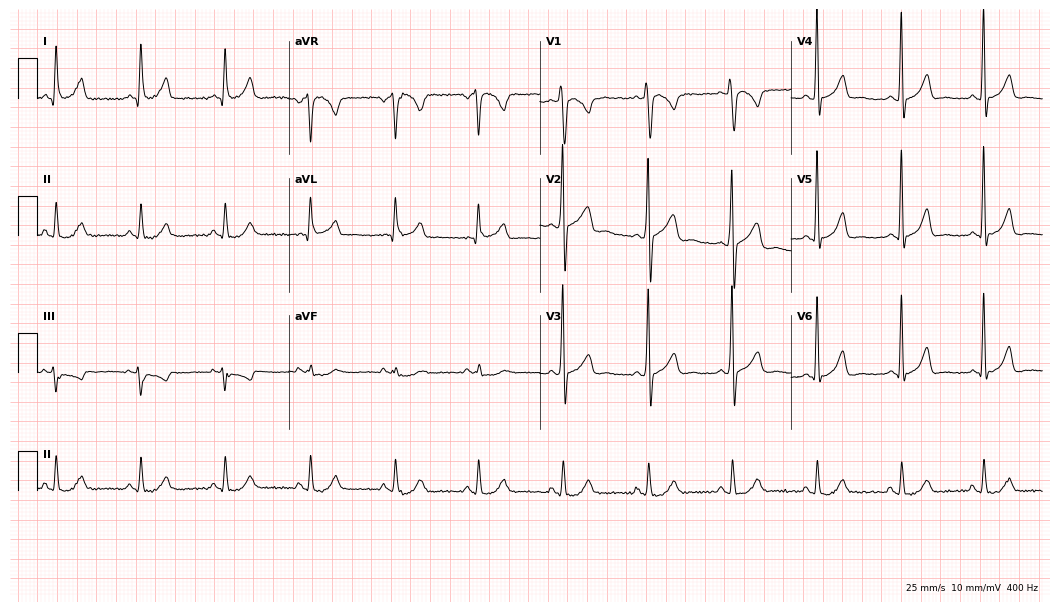
12-lead ECG from a male, 46 years old (10.2-second recording at 400 Hz). Recorded interpretation: within normal limits.